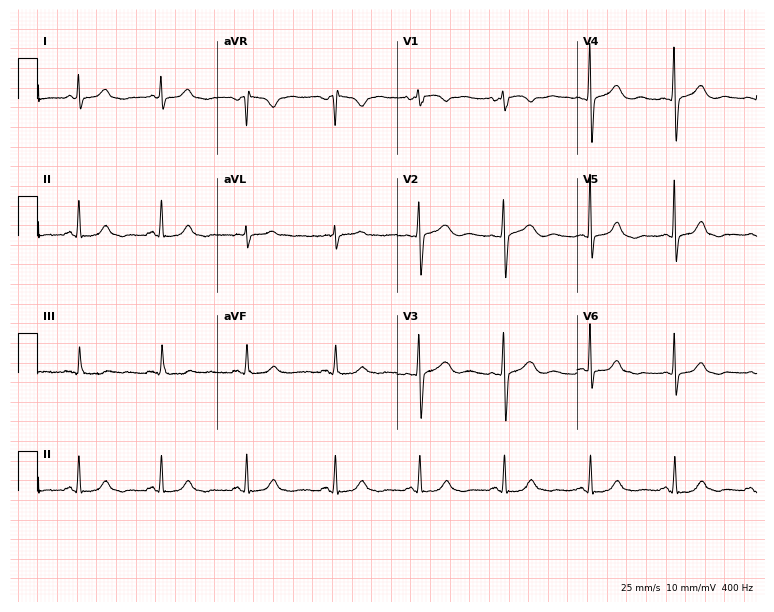
12-lead ECG from a female patient, 59 years old. No first-degree AV block, right bundle branch block, left bundle branch block, sinus bradycardia, atrial fibrillation or sinus tachycardia recorded for this tracing.